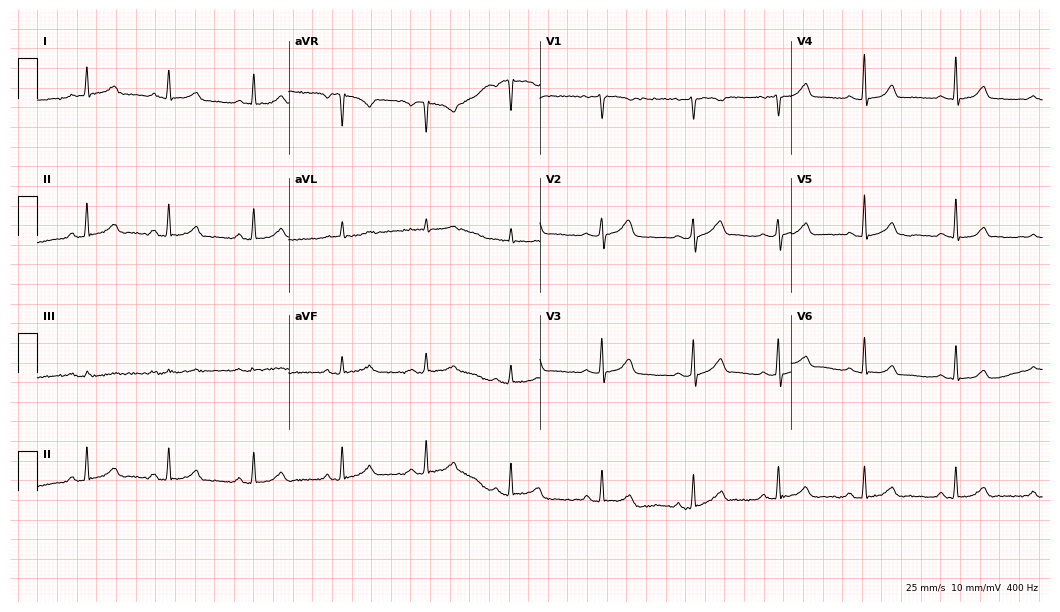
Electrocardiogram (10.2-second recording at 400 Hz), a 35-year-old woman. Overall reading on record: normal ECG.